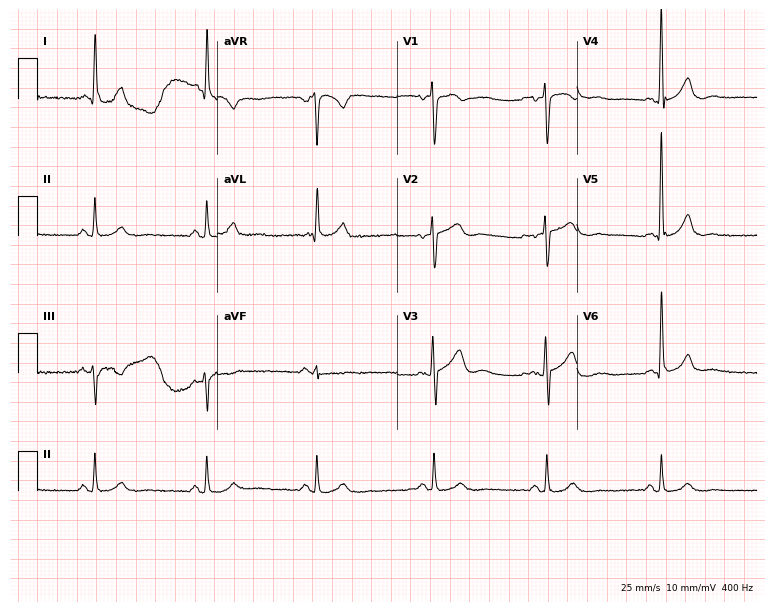
Electrocardiogram (7.3-second recording at 400 Hz), a man, 62 years old. Of the six screened findings (first-degree AV block, right bundle branch block, left bundle branch block, sinus bradycardia, atrial fibrillation, sinus tachycardia), none is recorded.